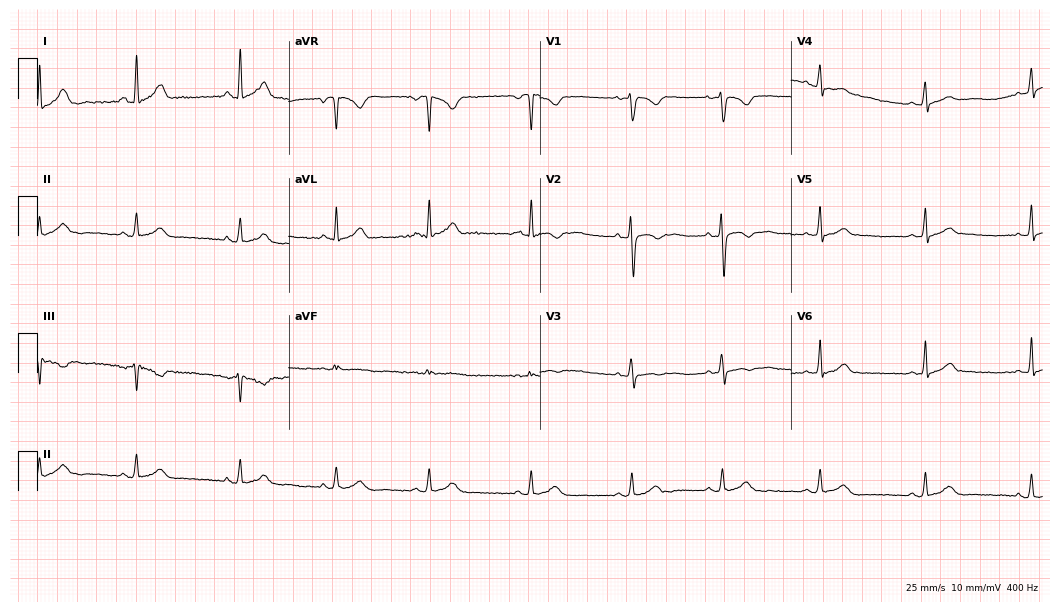
Resting 12-lead electrocardiogram. Patient: a woman, 17 years old. Read as a normal ECG.